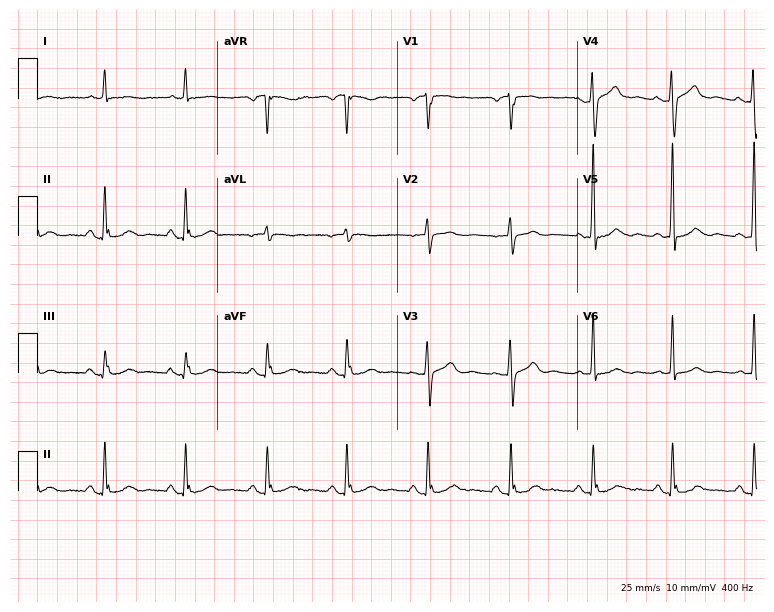
12-lead ECG from a 66-year-old male patient. No first-degree AV block, right bundle branch block, left bundle branch block, sinus bradycardia, atrial fibrillation or sinus tachycardia recorded for this tracing. Findings outside these six are not listed.